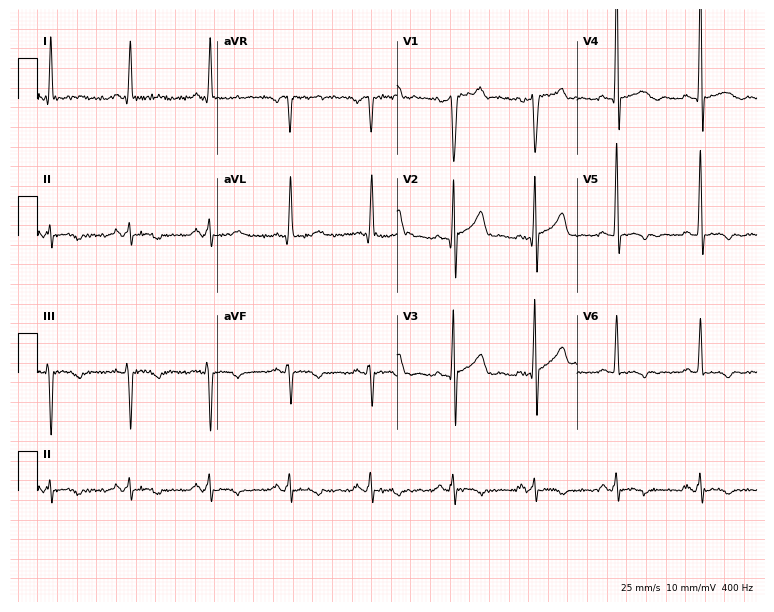
12-lead ECG (7.3-second recording at 400 Hz) from a woman, 44 years old. Screened for six findings — first-degree AV block, right bundle branch block (RBBB), left bundle branch block (LBBB), sinus bradycardia, atrial fibrillation (AF), sinus tachycardia — none is recorded.